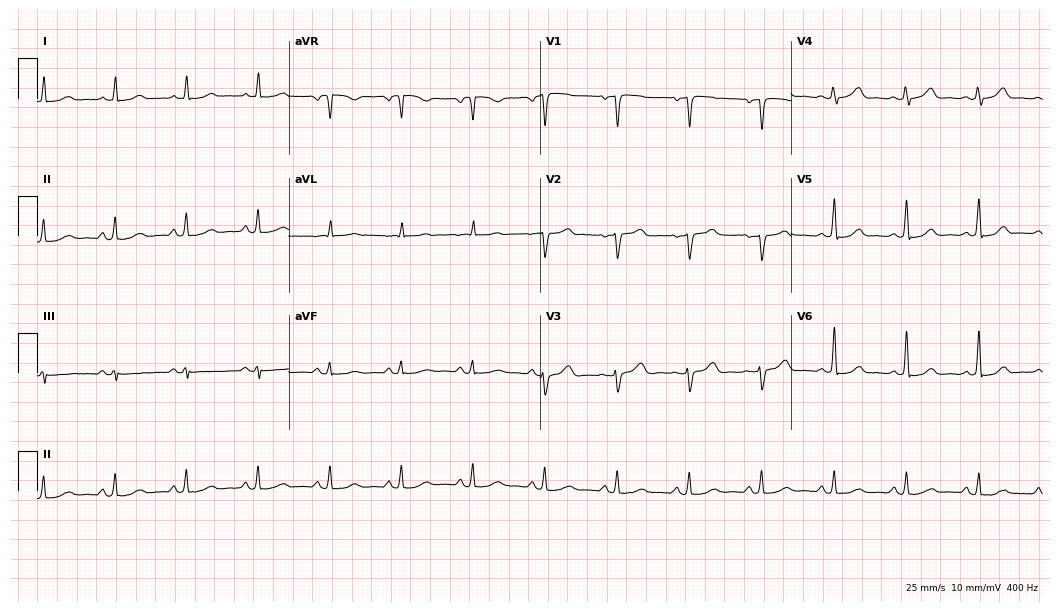
12-lead ECG from a 57-year-old woman (10.2-second recording at 400 Hz). Recorded interpretation: within normal limits.